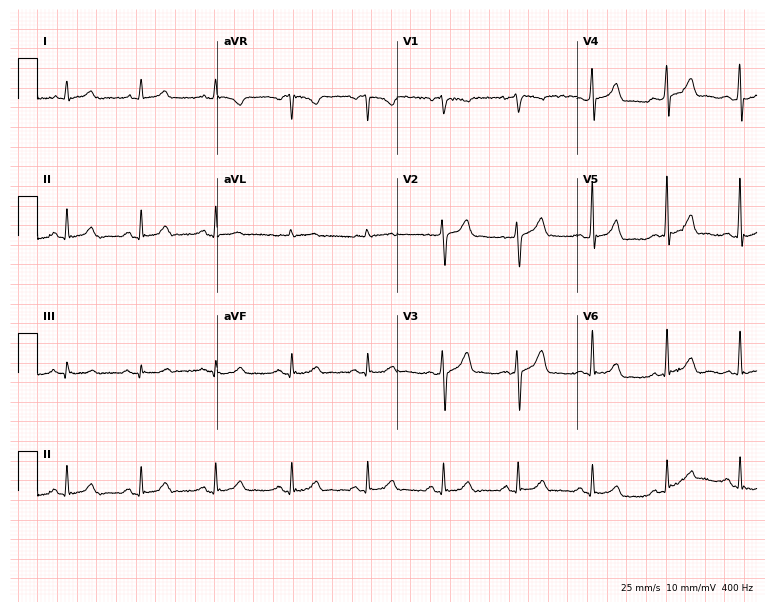
12-lead ECG (7.3-second recording at 400 Hz) from a male patient, 63 years old. Labelled as a normal ECG.